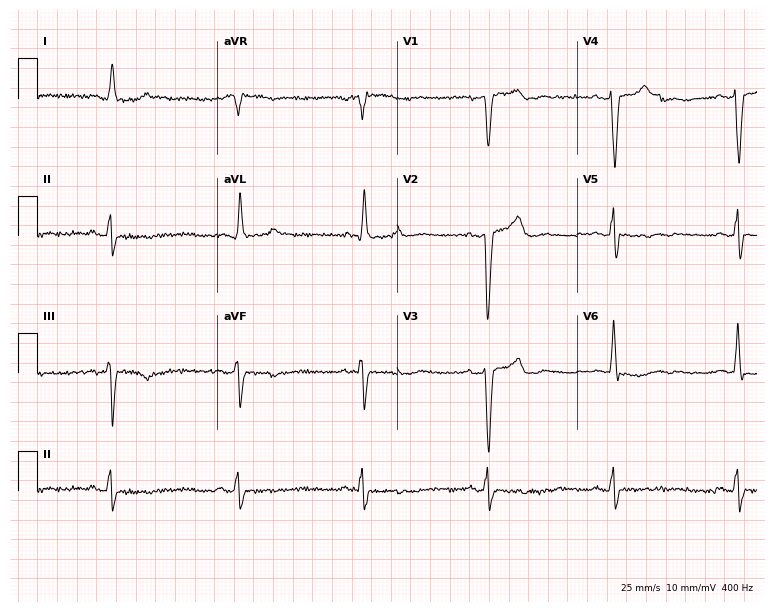
Standard 12-lead ECG recorded from an 82-year-old male. None of these six findings is recorded: first-degree AV block, right bundle branch block, left bundle branch block, sinus bradycardia, atrial fibrillation, sinus tachycardia. Only these six findings were labelled.